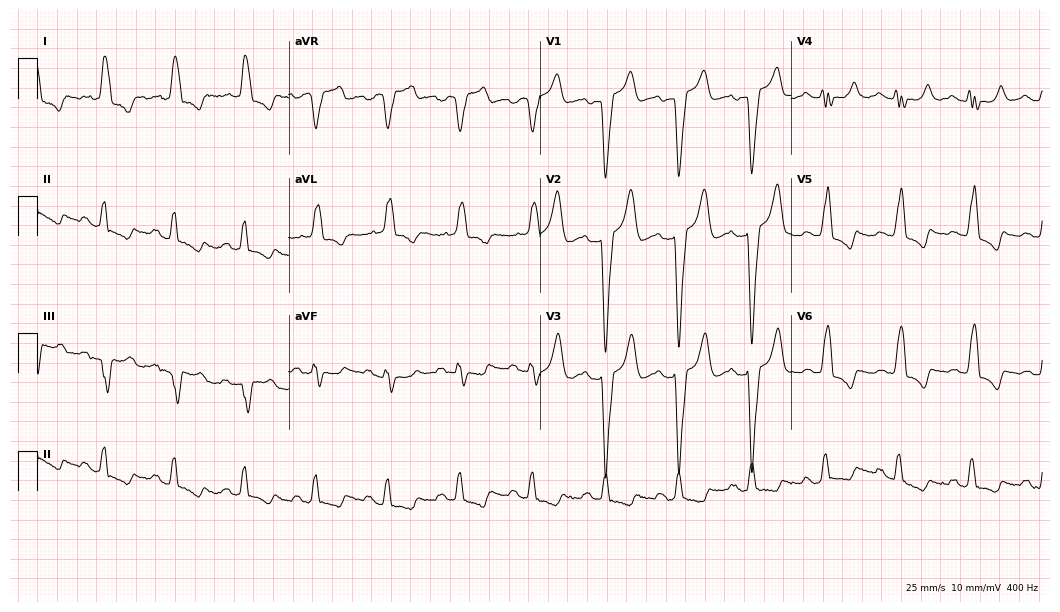
12-lead ECG (10.2-second recording at 400 Hz) from a 79-year-old female. Findings include left bundle branch block.